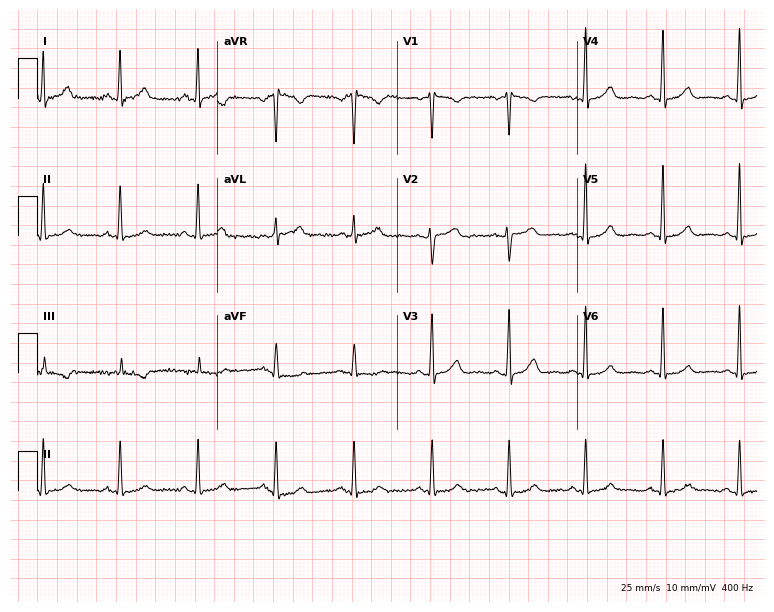
Electrocardiogram (7.3-second recording at 400 Hz), a 43-year-old female. Overall reading on record: normal ECG.